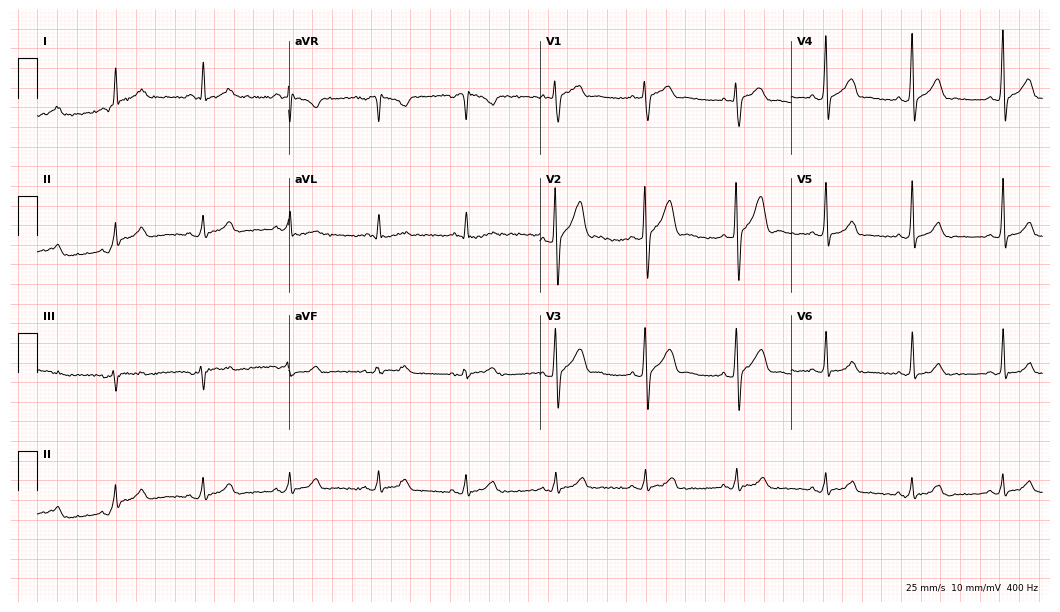
12-lead ECG from a male patient, 31 years old. Recorded interpretation: within normal limits.